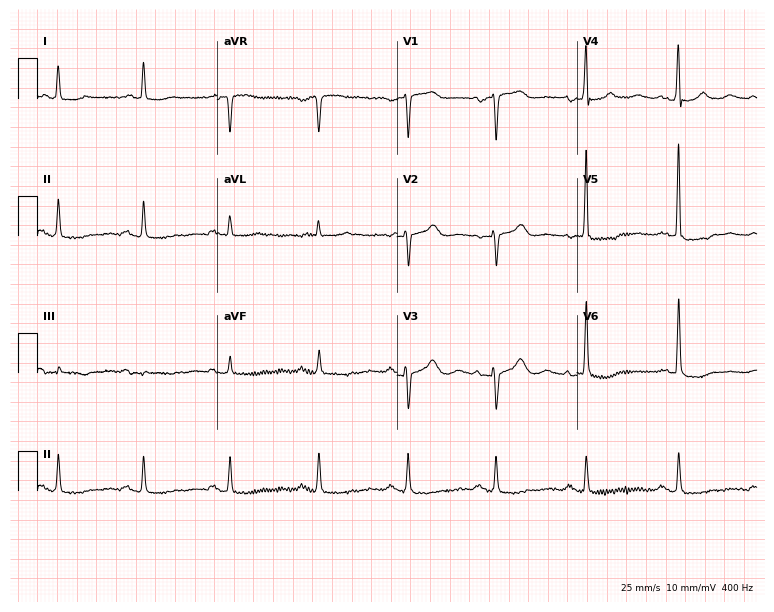
12-lead ECG from a female, 79 years old. No first-degree AV block, right bundle branch block, left bundle branch block, sinus bradycardia, atrial fibrillation or sinus tachycardia recorded for this tracing.